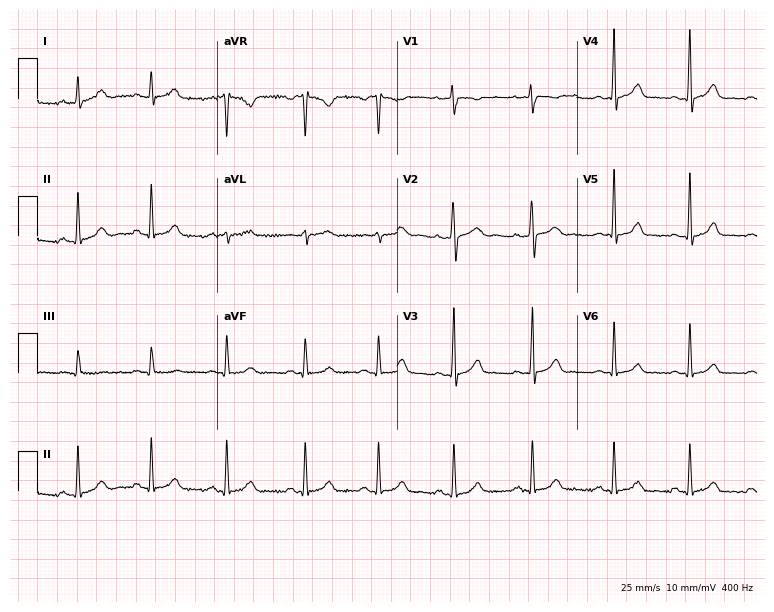
ECG — a 29-year-old woman. Screened for six findings — first-degree AV block, right bundle branch block (RBBB), left bundle branch block (LBBB), sinus bradycardia, atrial fibrillation (AF), sinus tachycardia — none is recorded. Only these six findings were labelled.